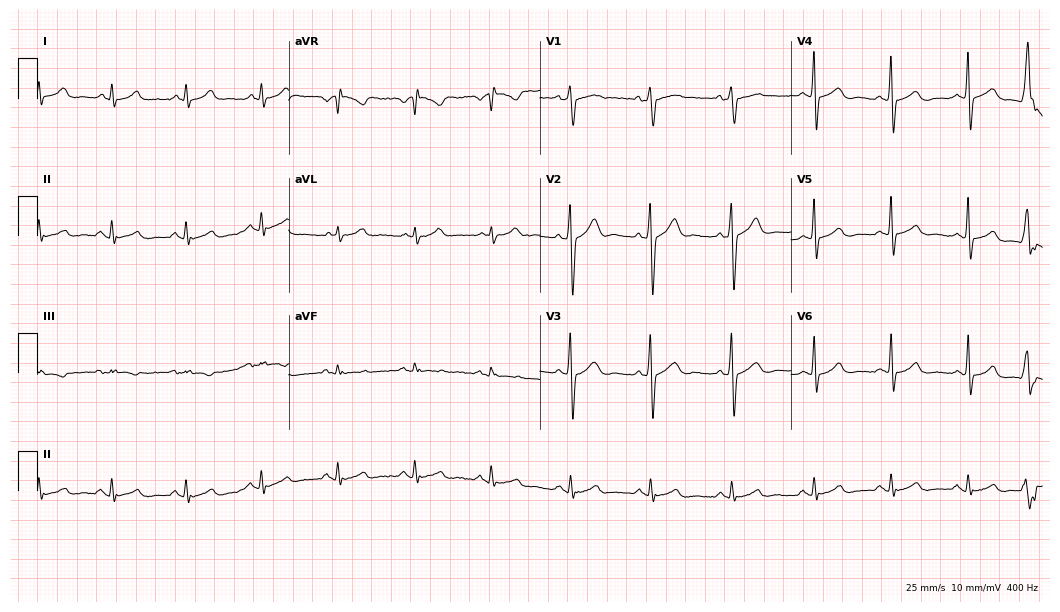
Resting 12-lead electrocardiogram. Patient: a man, 40 years old. Read as a normal ECG.